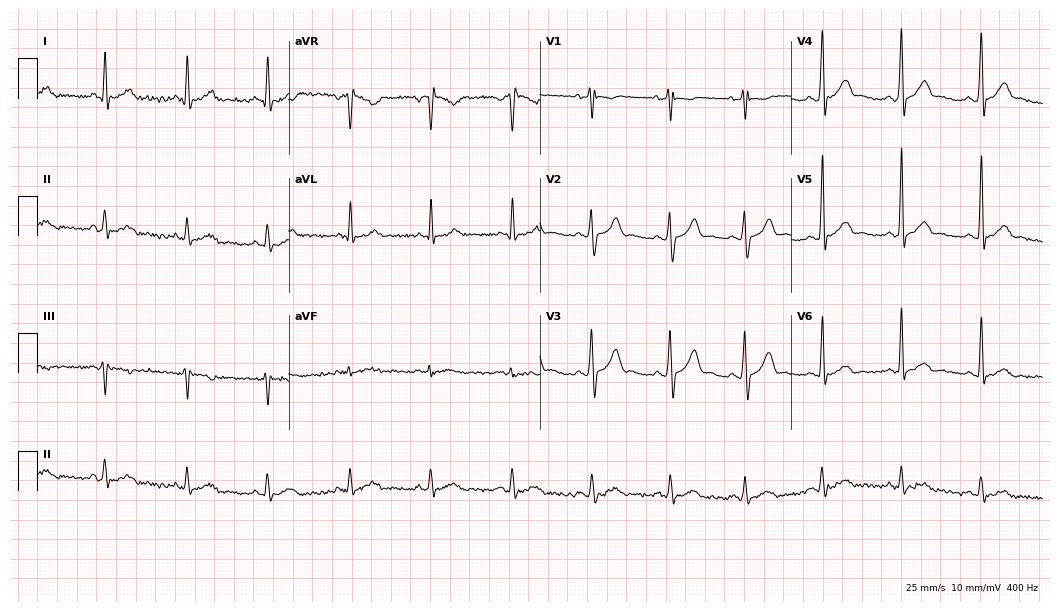
Resting 12-lead electrocardiogram (10.2-second recording at 400 Hz). Patient: a 29-year-old male. Read as a normal ECG.